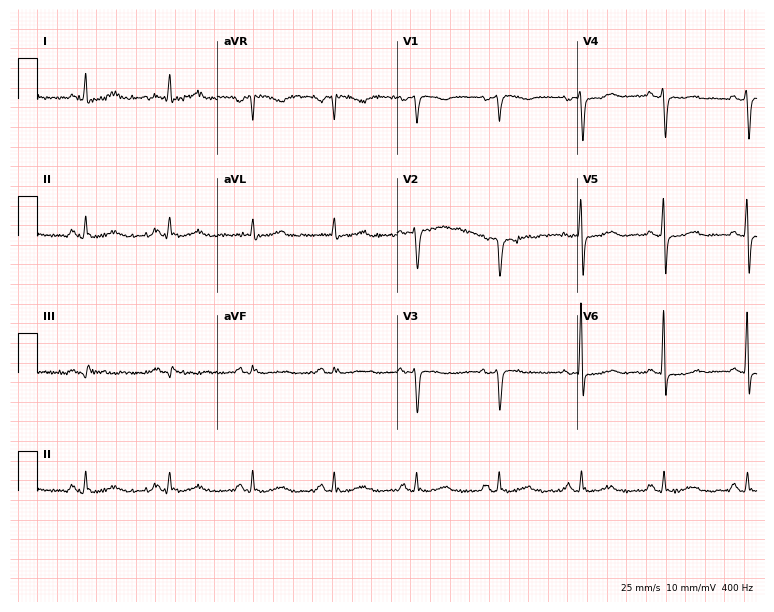
Standard 12-lead ECG recorded from a 73-year-old female patient (7.3-second recording at 400 Hz). Read as a normal ECG.